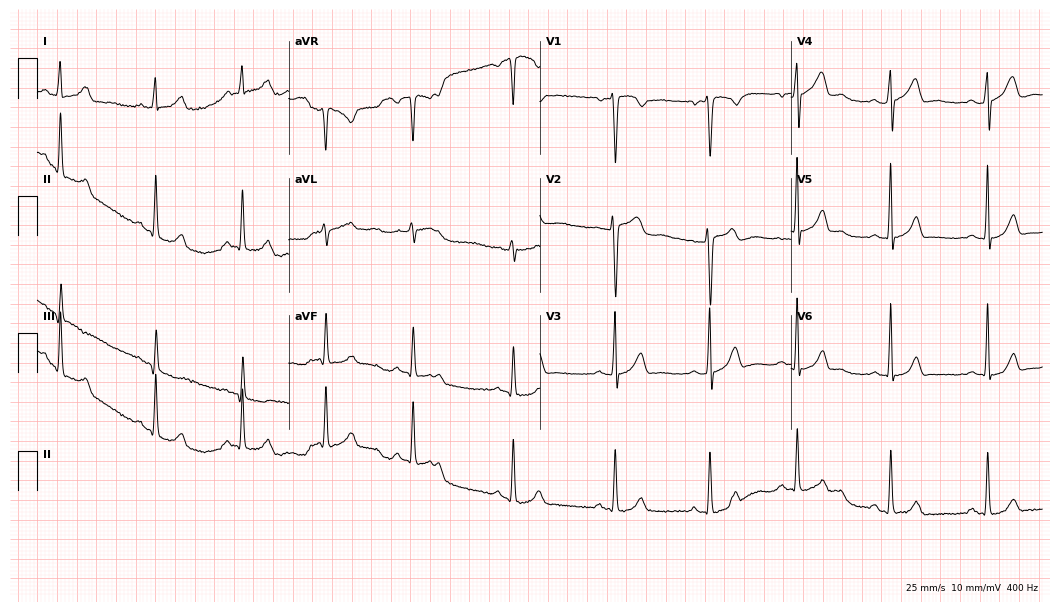
Electrocardiogram (10.2-second recording at 400 Hz), a female patient, 21 years old. Of the six screened findings (first-degree AV block, right bundle branch block (RBBB), left bundle branch block (LBBB), sinus bradycardia, atrial fibrillation (AF), sinus tachycardia), none is recorded. Other findings, if any, are not listed.